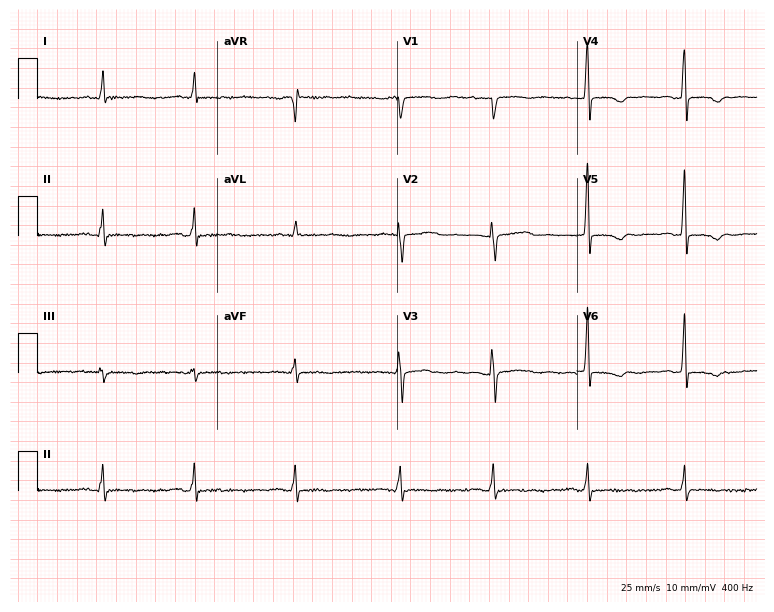
Standard 12-lead ECG recorded from a 58-year-old female (7.3-second recording at 400 Hz). None of these six findings is recorded: first-degree AV block, right bundle branch block (RBBB), left bundle branch block (LBBB), sinus bradycardia, atrial fibrillation (AF), sinus tachycardia.